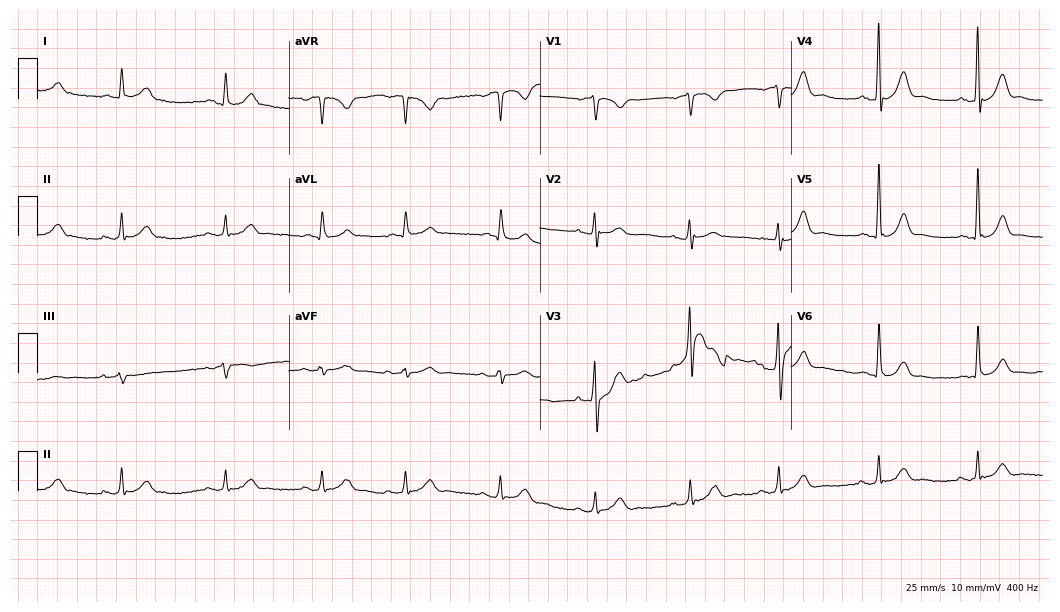
Resting 12-lead electrocardiogram. Patient: an 82-year-old man. Read as a normal ECG.